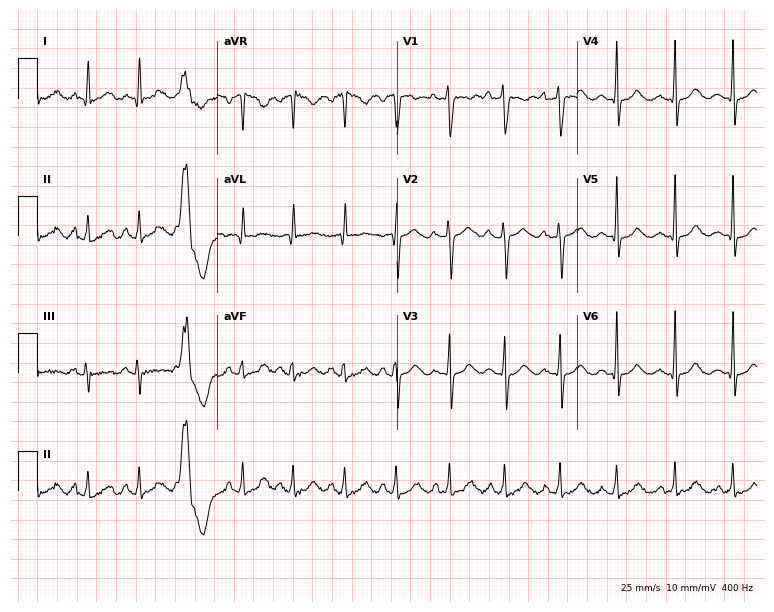
ECG (7.3-second recording at 400 Hz) — a woman, 39 years old. Findings include sinus tachycardia (a sinus rate of 100 beats per minute or more).